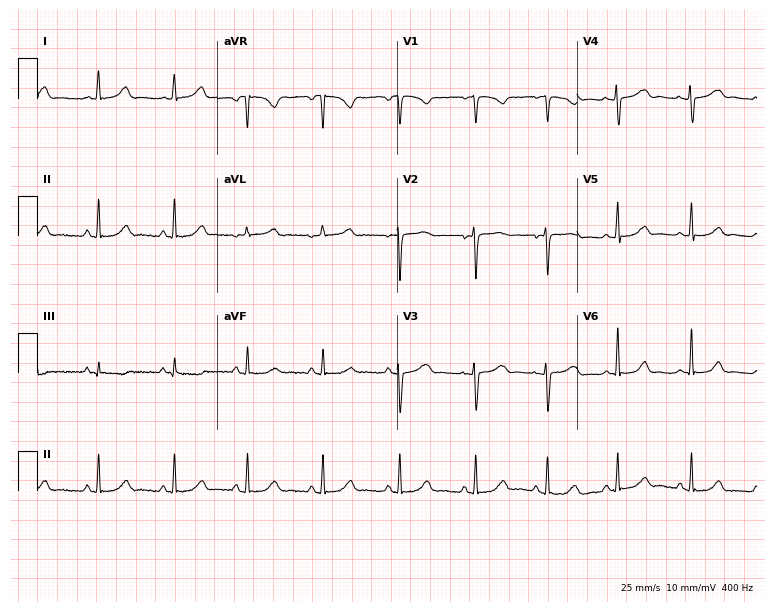
Standard 12-lead ECG recorded from a 21-year-old female patient. Read as a normal ECG.